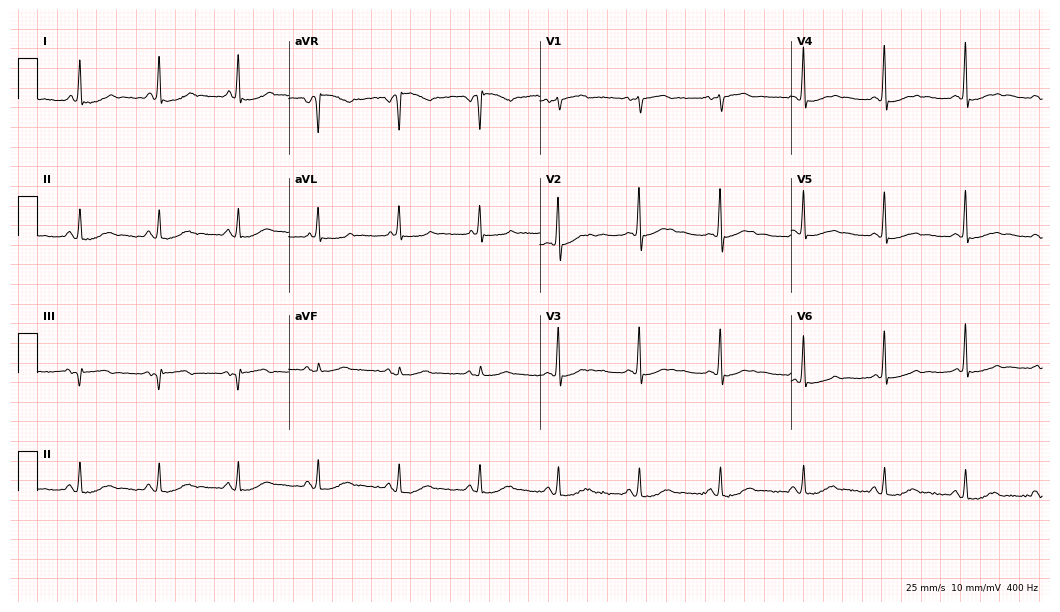
Electrocardiogram, a female, 63 years old. Of the six screened findings (first-degree AV block, right bundle branch block (RBBB), left bundle branch block (LBBB), sinus bradycardia, atrial fibrillation (AF), sinus tachycardia), none is recorded. Other findings, if any, are not listed.